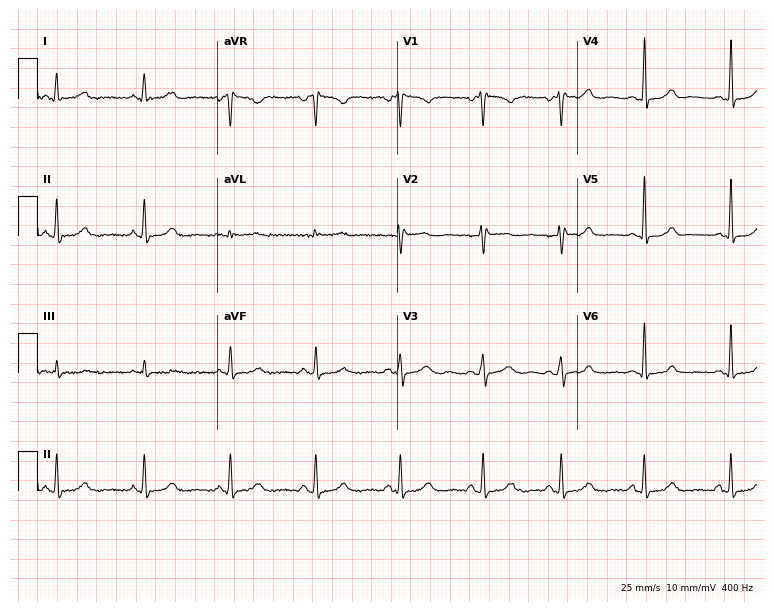
ECG (7.3-second recording at 400 Hz) — a female, 43 years old. Labelled as a normal ECG.